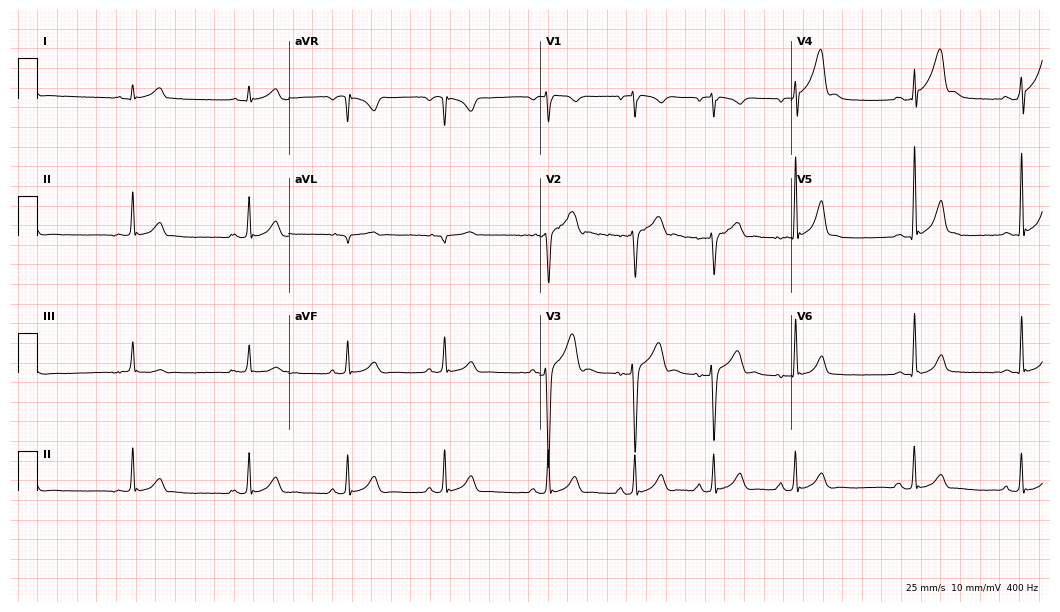
Resting 12-lead electrocardiogram (10.2-second recording at 400 Hz). Patient: a man, 20 years old. Read as a normal ECG.